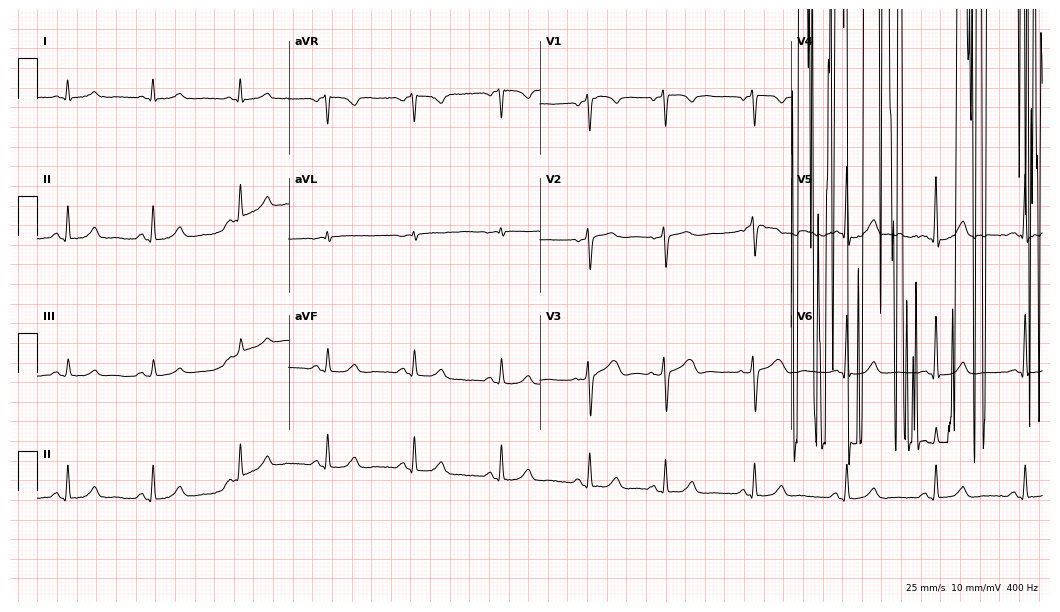
12-lead ECG from a male, 67 years old (10.2-second recording at 400 Hz). No first-degree AV block, right bundle branch block (RBBB), left bundle branch block (LBBB), sinus bradycardia, atrial fibrillation (AF) or sinus tachycardia recorded for this tracing. Only these six findings were labelled.